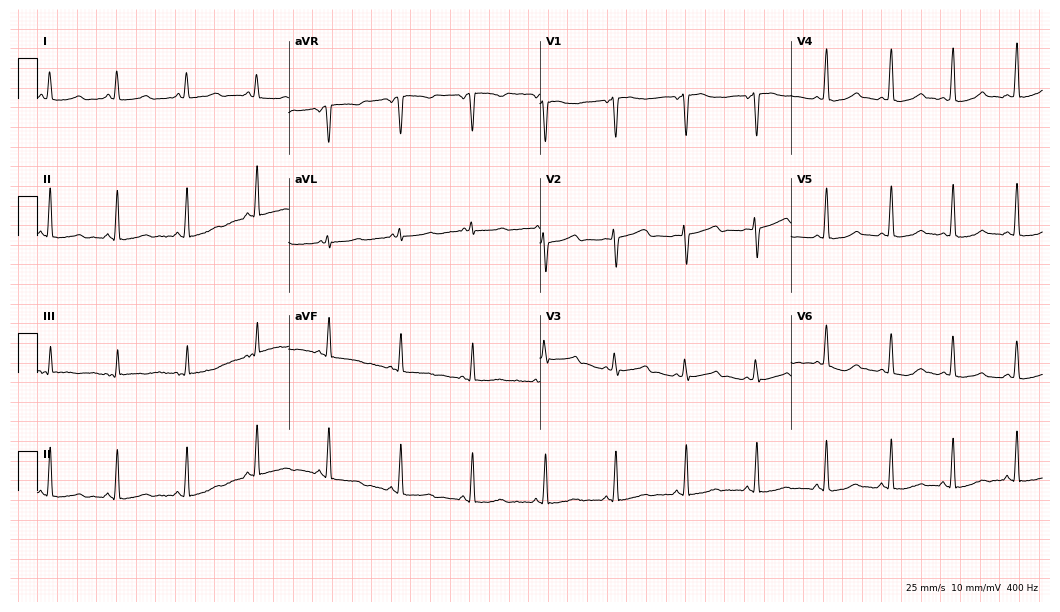
12-lead ECG from a 37-year-old woman. Screened for six findings — first-degree AV block, right bundle branch block, left bundle branch block, sinus bradycardia, atrial fibrillation, sinus tachycardia — none is recorded. Only these six findings were labelled.